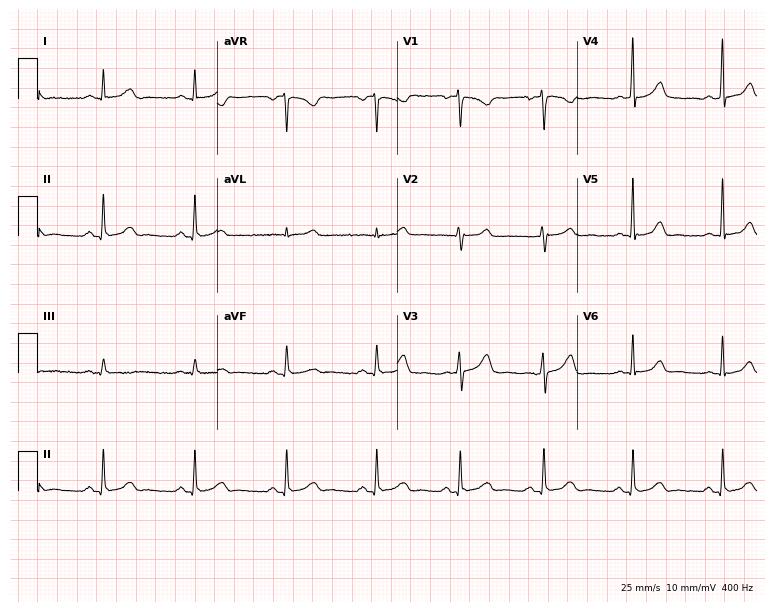
12-lead ECG (7.3-second recording at 400 Hz) from a 36-year-old female. Labelled as a normal ECG.